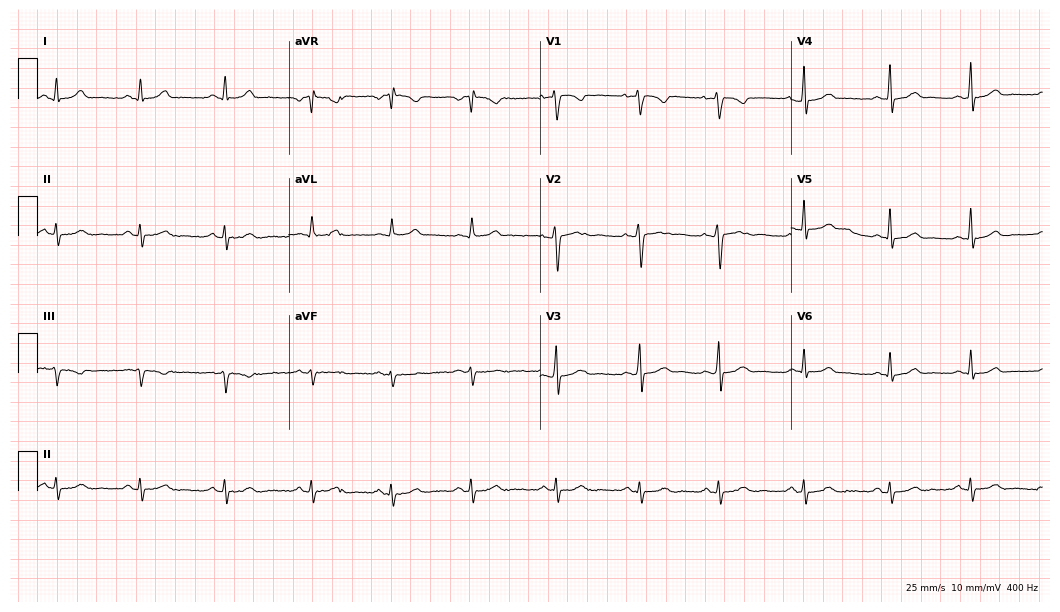
12-lead ECG (10.2-second recording at 400 Hz) from a female, 30 years old. Labelled as a normal ECG.